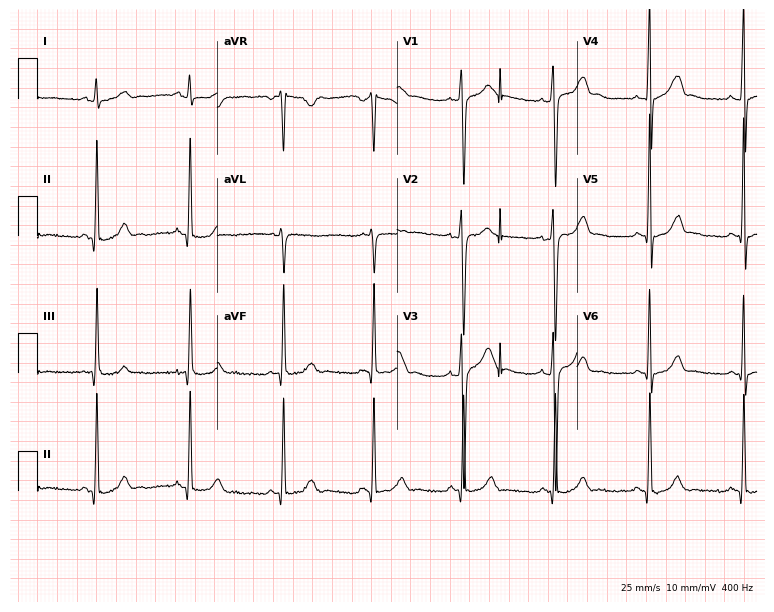
Resting 12-lead electrocardiogram (7.3-second recording at 400 Hz). Patient: a 20-year-old male. Read as a normal ECG.